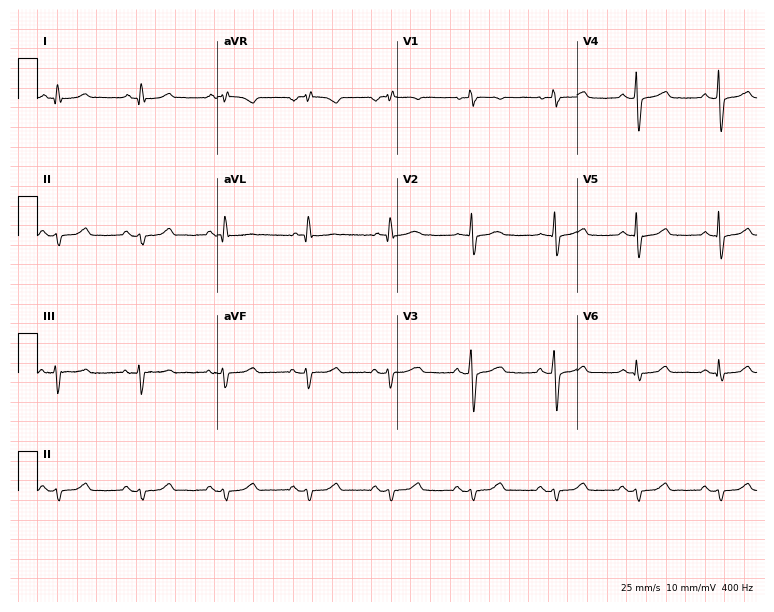
ECG (7.3-second recording at 400 Hz) — a 59-year-old female patient. Labelled as a normal ECG.